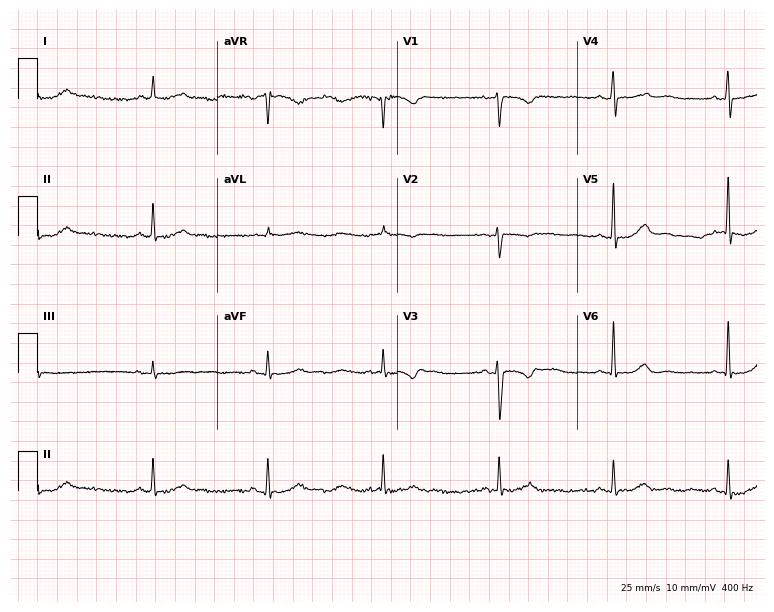
Electrocardiogram, a 45-year-old woman. Of the six screened findings (first-degree AV block, right bundle branch block (RBBB), left bundle branch block (LBBB), sinus bradycardia, atrial fibrillation (AF), sinus tachycardia), none is recorded.